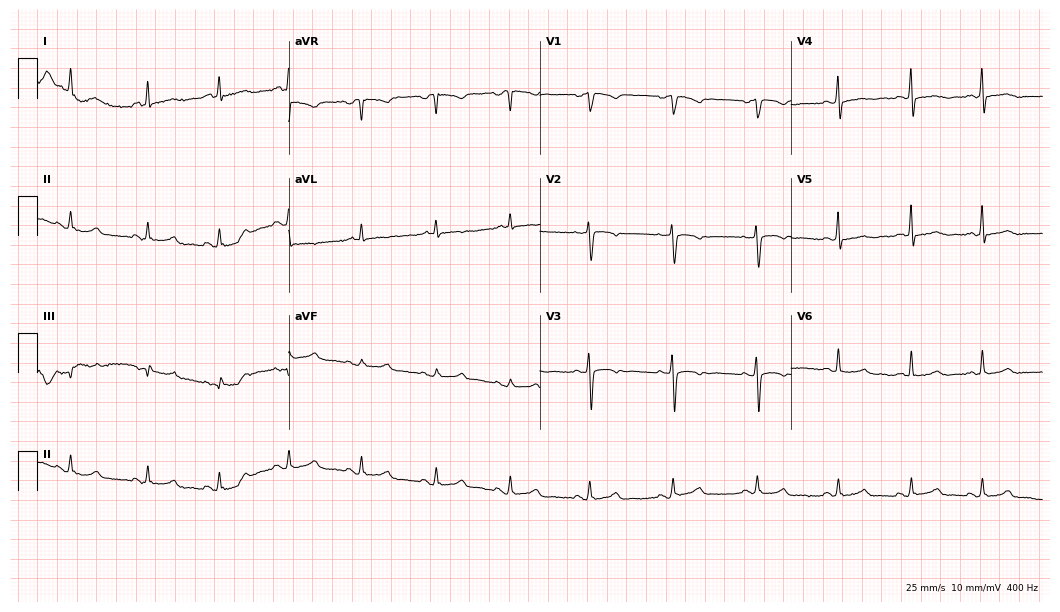
ECG — a female, 45 years old. Screened for six findings — first-degree AV block, right bundle branch block (RBBB), left bundle branch block (LBBB), sinus bradycardia, atrial fibrillation (AF), sinus tachycardia — none is recorded. Only these six findings were labelled.